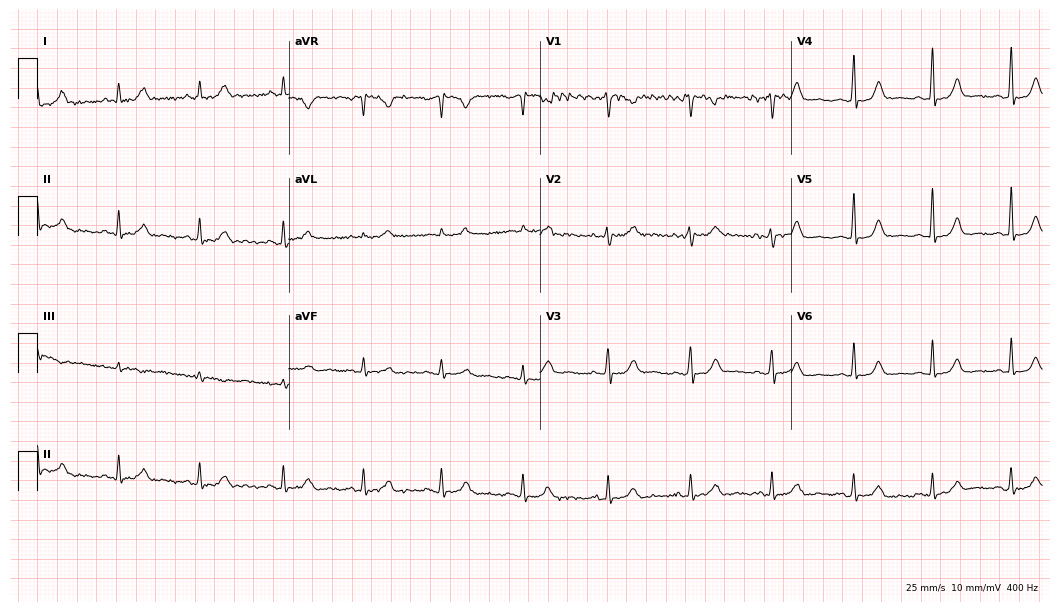
Electrocardiogram (10.2-second recording at 400 Hz), a female, 55 years old. Of the six screened findings (first-degree AV block, right bundle branch block, left bundle branch block, sinus bradycardia, atrial fibrillation, sinus tachycardia), none is recorded.